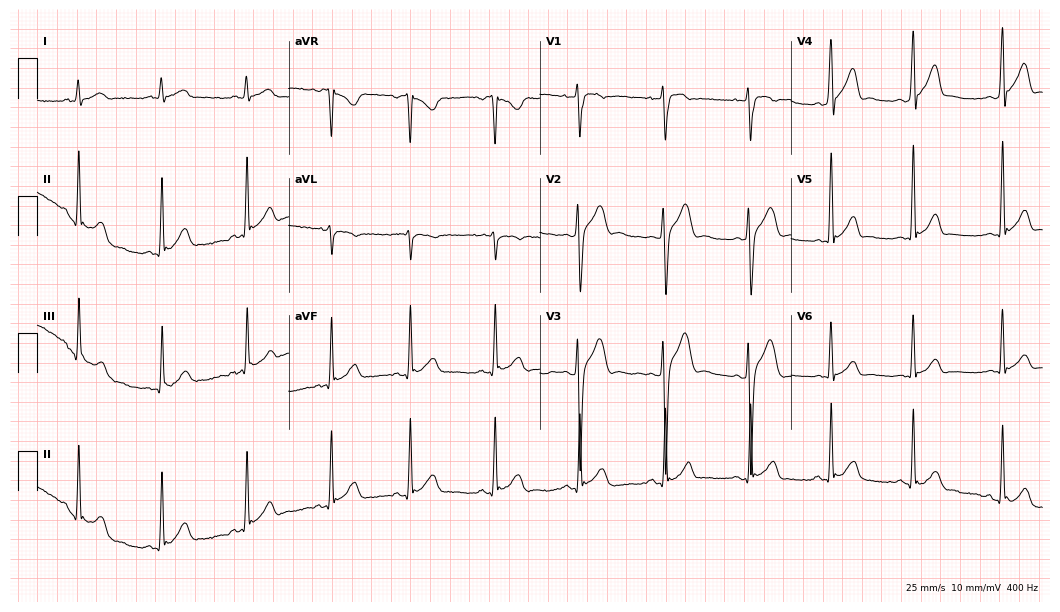
Electrocardiogram, a man, 22 years old. Overall reading on record: normal ECG.